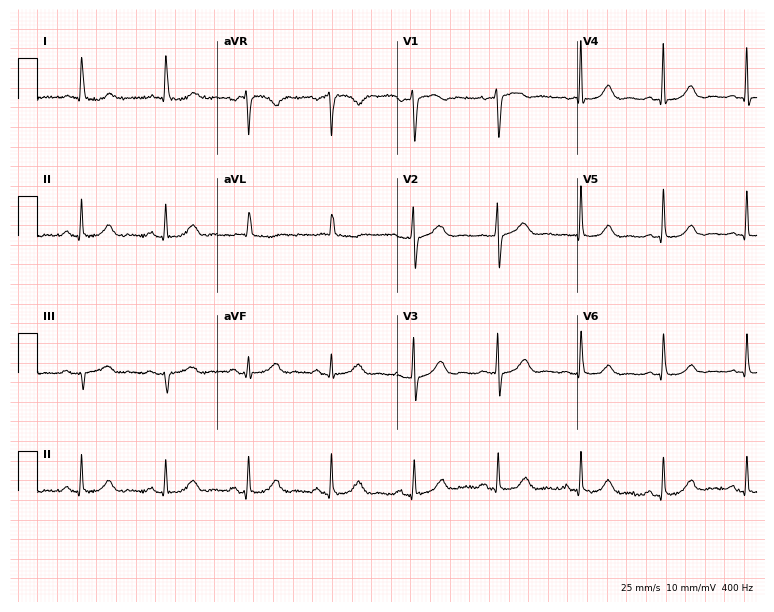
12-lead ECG (7.3-second recording at 400 Hz) from an 83-year-old woman. Labelled as a normal ECG.